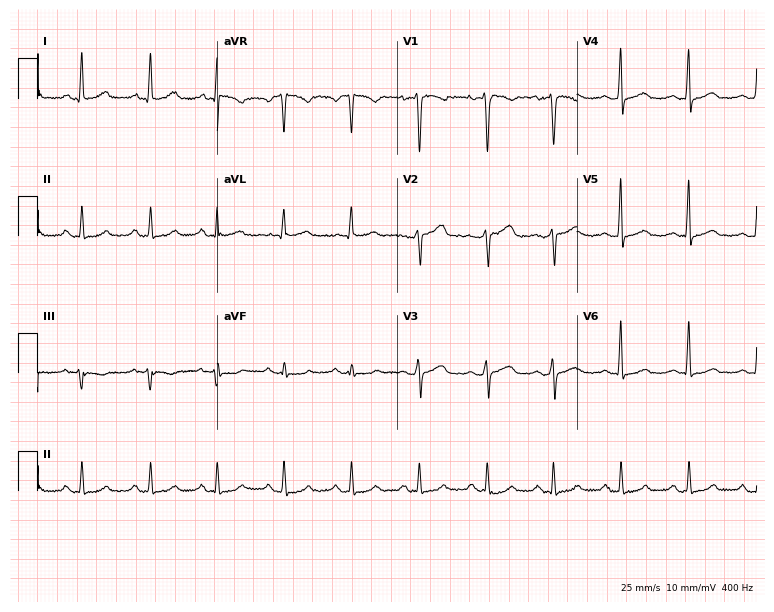
Standard 12-lead ECG recorded from a female patient, 43 years old (7.3-second recording at 400 Hz). None of these six findings is recorded: first-degree AV block, right bundle branch block (RBBB), left bundle branch block (LBBB), sinus bradycardia, atrial fibrillation (AF), sinus tachycardia. Only these six findings were labelled.